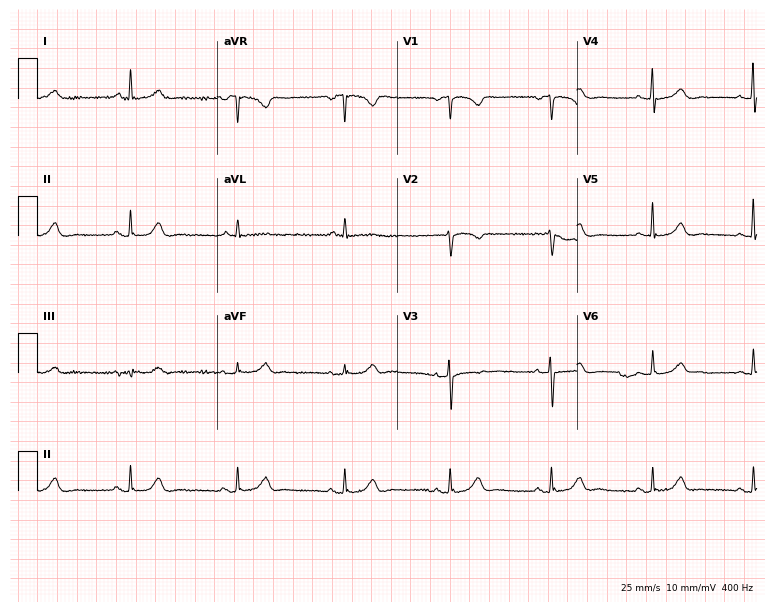
12-lead ECG (7.3-second recording at 400 Hz) from a female, 67 years old. Labelled as a normal ECG.